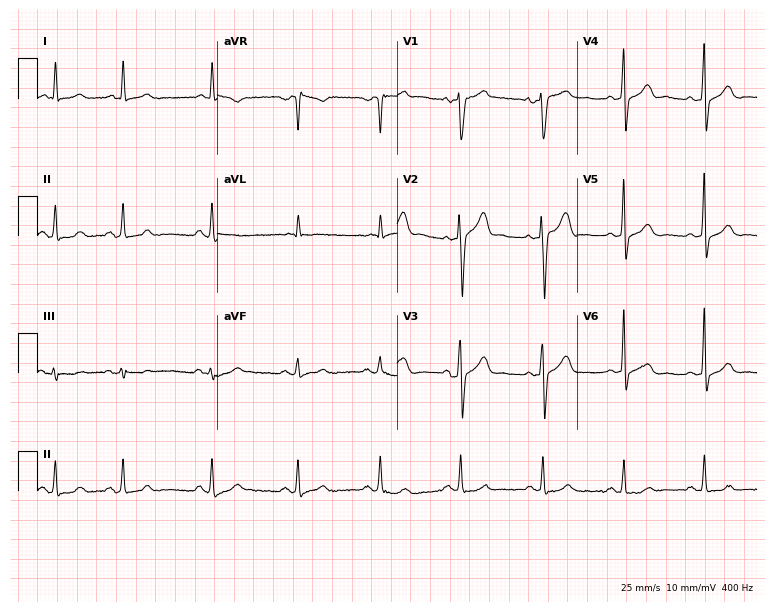
Resting 12-lead electrocardiogram. Patient: an 84-year-old male. None of these six findings is recorded: first-degree AV block, right bundle branch block (RBBB), left bundle branch block (LBBB), sinus bradycardia, atrial fibrillation (AF), sinus tachycardia. Other findings, if any, are not listed.